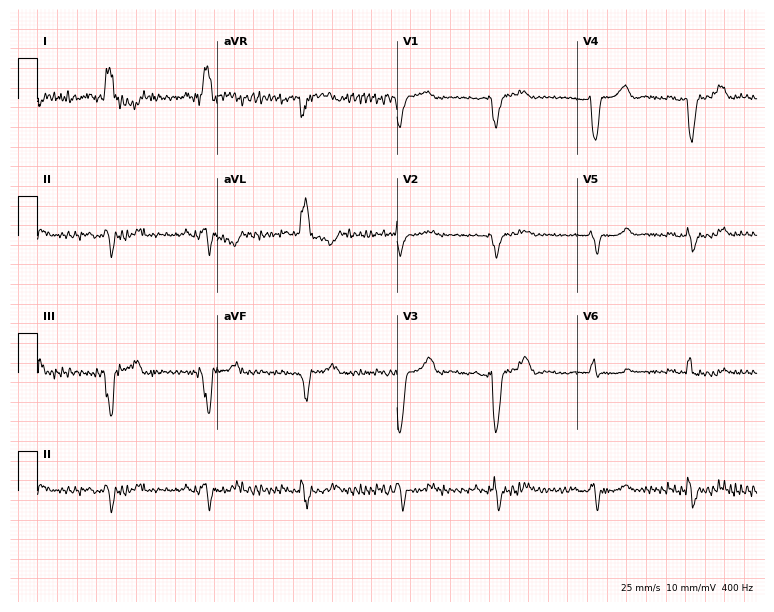
Standard 12-lead ECG recorded from an 84-year-old female. The tracing shows left bundle branch block.